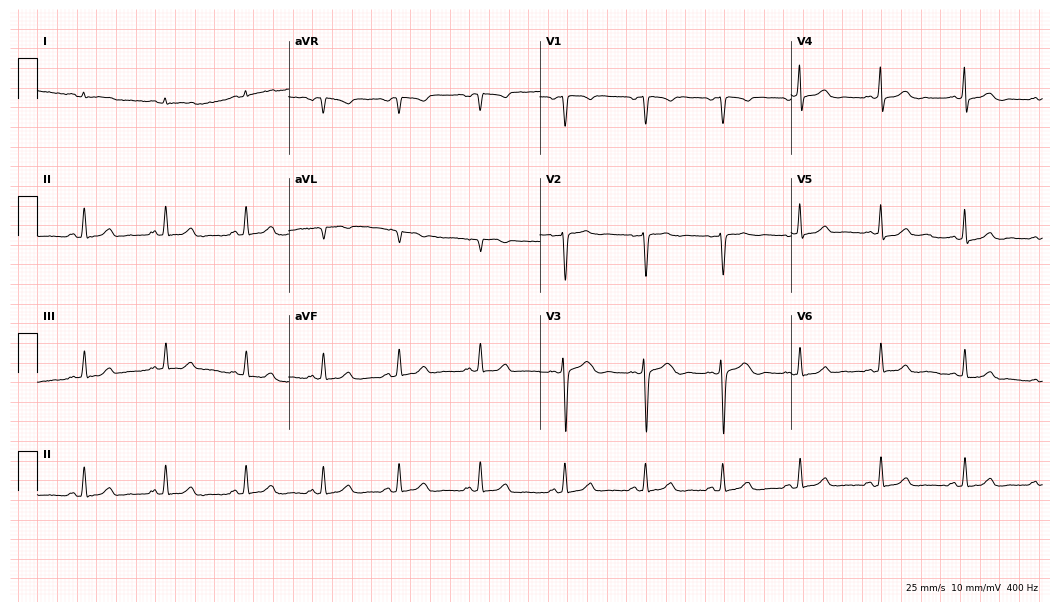
Electrocardiogram, a female, 34 years old. Overall reading on record: normal ECG.